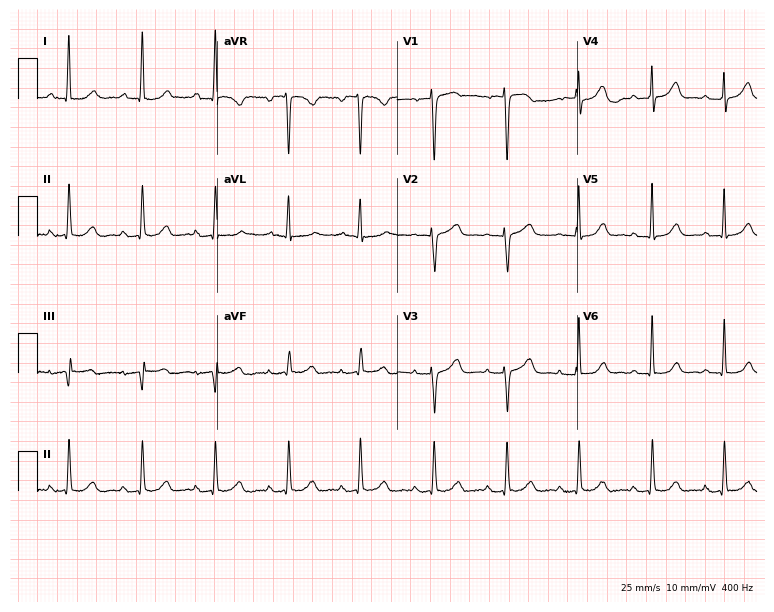
12-lead ECG (7.3-second recording at 400 Hz) from a woman, 71 years old. Labelled as a normal ECG.